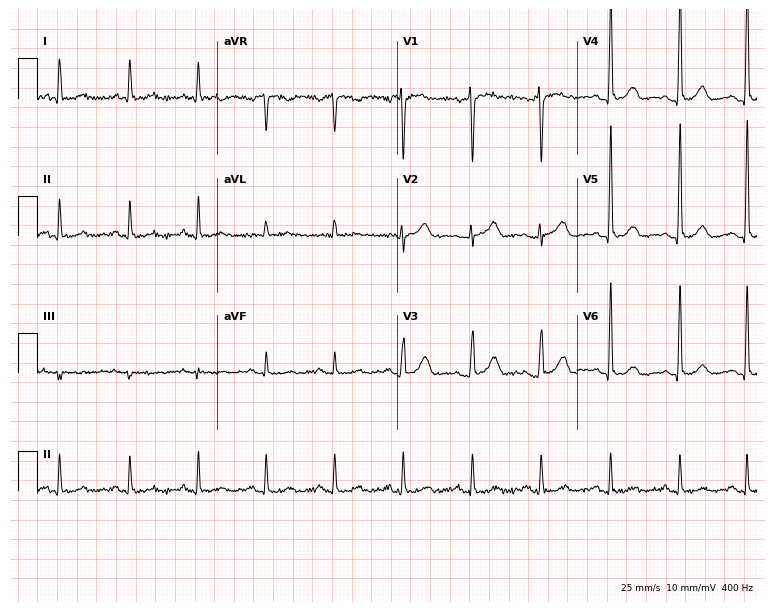
12-lead ECG from a male, 38 years old. No first-degree AV block, right bundle branch block (RBBB), left bundle branch block (LBBB), sinus bradycardia, atrial fibrillation (AF) or sinus tachycardia recorded for this tracing.